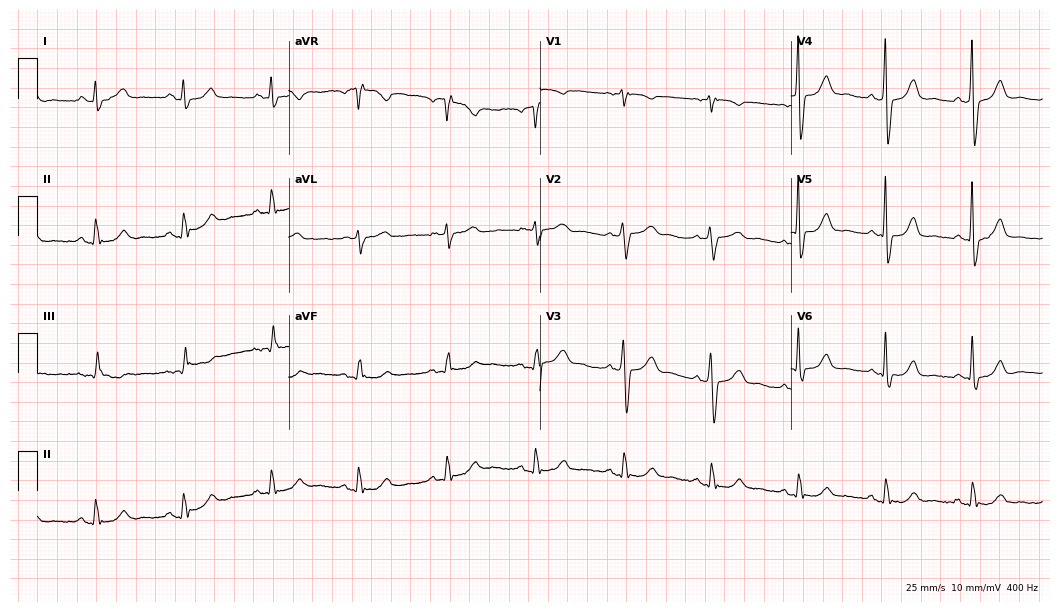
ECG — a male, 68 years old. Screened for six findings — first-degree AV block, right bundle branch block (RBBB), left bundle branch block (LBBB), sinus bradycardia, atrial fibrillation (AF), sinus tachycardia — none is recorded.